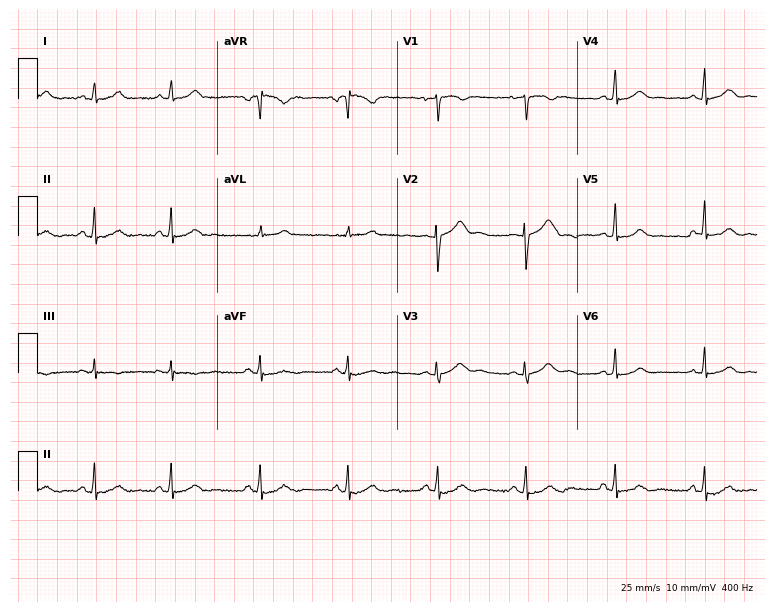
Standard 12-lead ECG recorded from a 30-year-old woman. None of these six findings is recorded: first-degree AV block, right bundle branch block (RBBB), left bundle branch block (LBBB), sinus bradycardia, atrial fibrillation (AF), sinus tachycardia.